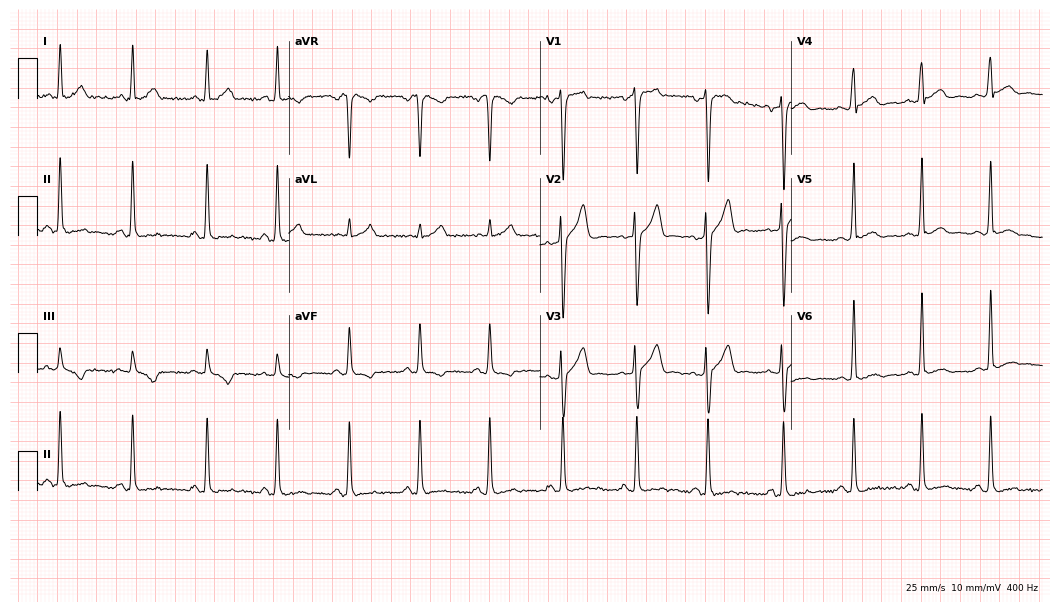
Resting 12-lead electrocardiogram. Patient: a male, 23 years old. Read as a normal ECG.